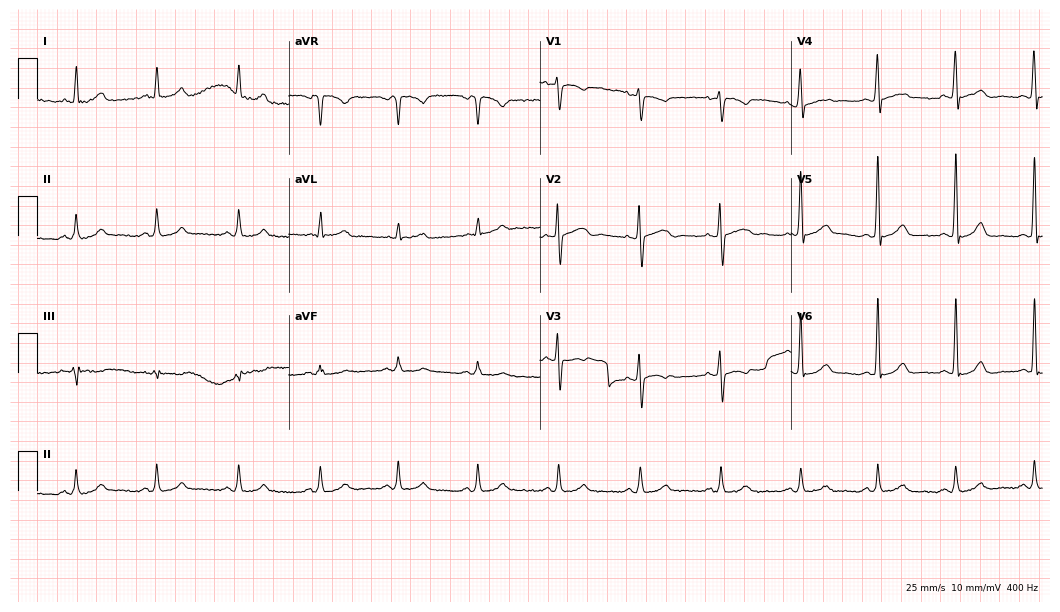
12-lead ECG from a 47-year-old female. Labelled as a normal ECG.